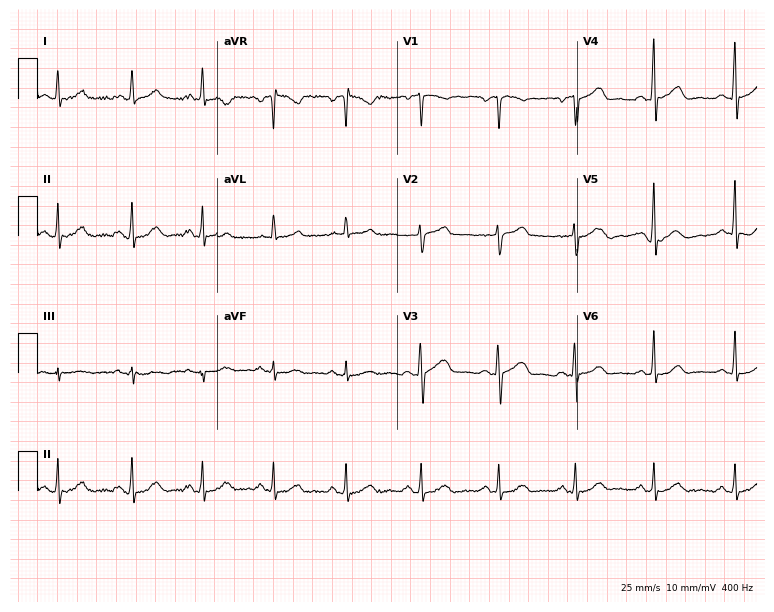
Electrocardiogram, a 55-year-old male. Overall reading on record: normal ECG.